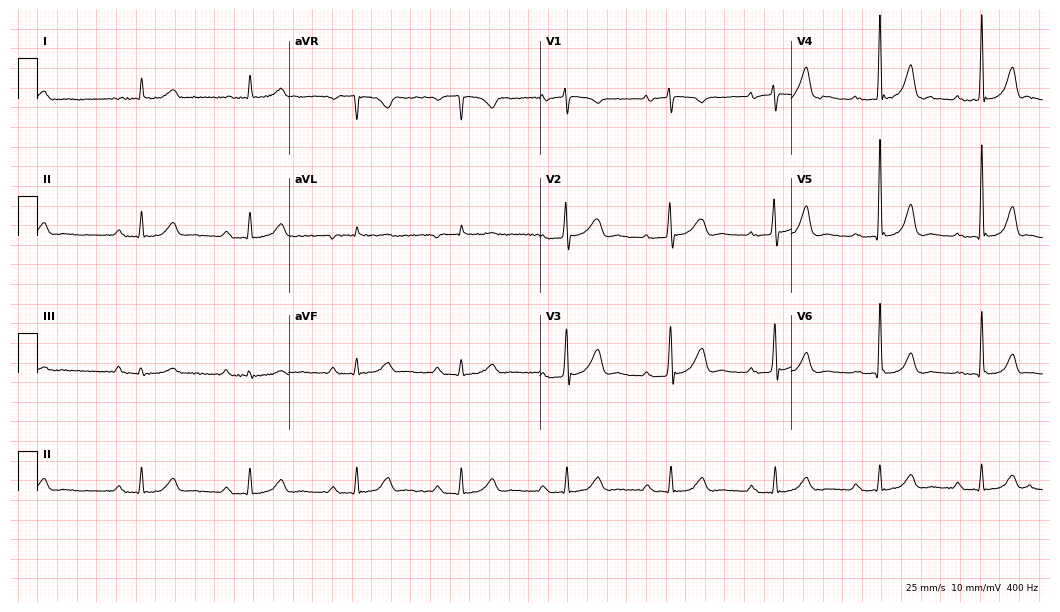
Resting 12-lead electrocardiogram. Patient: a male, 83 years old. The tracing shows first-degree AV block.